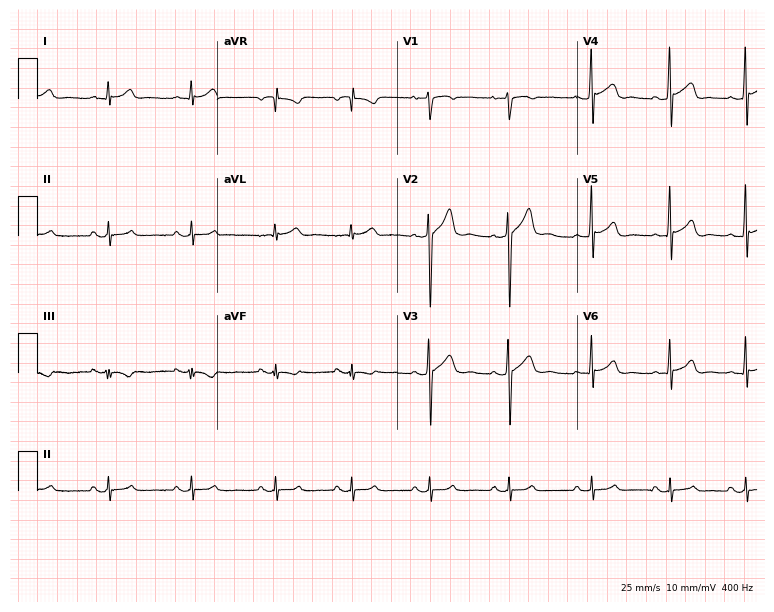
12-lead ECG from a man, 22 years old. Recorded interpretation: within normal limits.